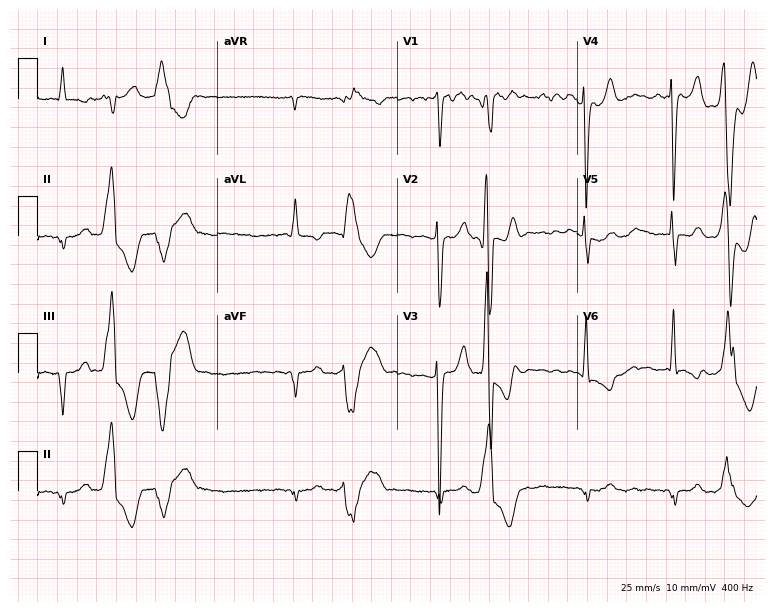
12-lead ECG from a male patient, 74 years old. Findings include atrial fibrillation.